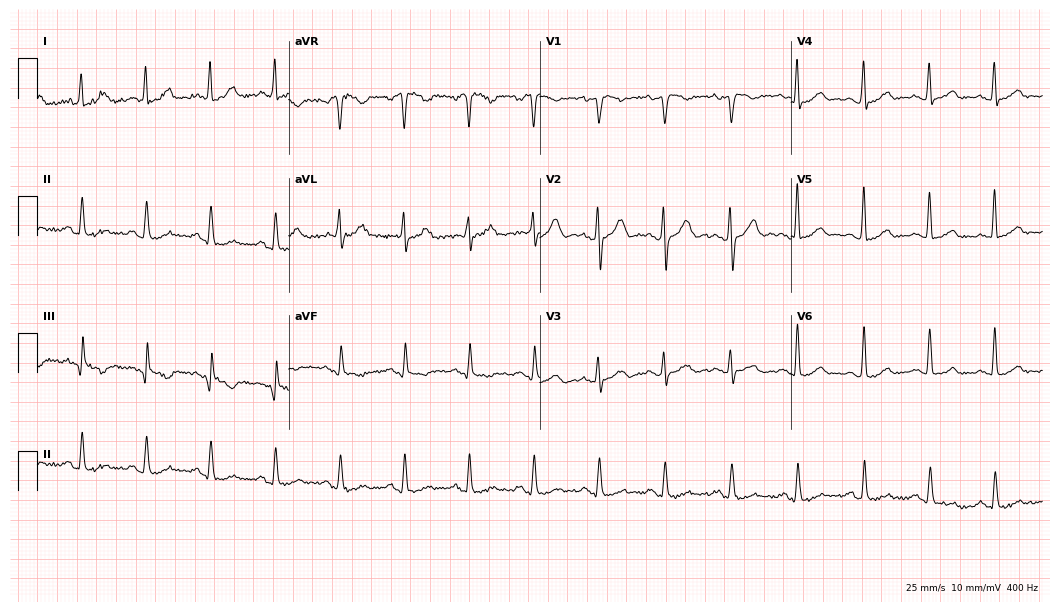
12-lead ECG from a 59-year-old man. Recorded interpretation: within normal limits.